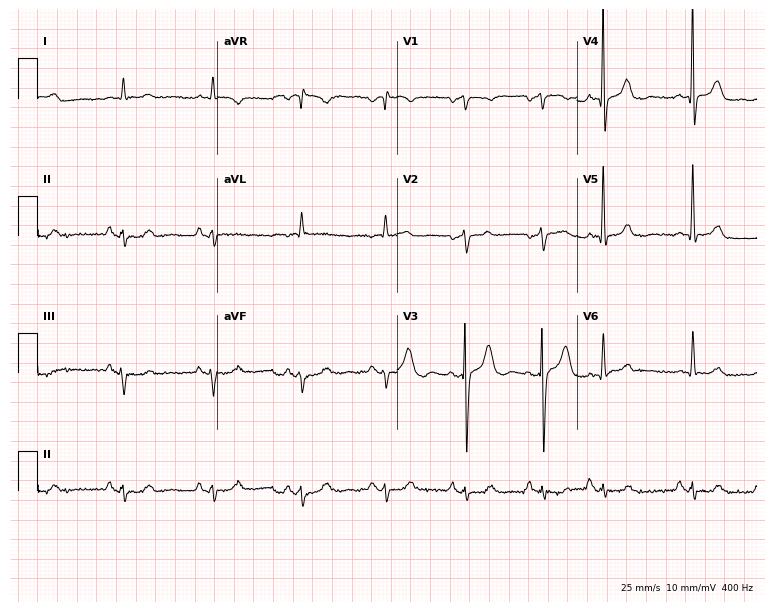
ECG — a man, 59 years old. Screened for six findings — first-degree AV block, right bundle branch block, left bundle branch block, sinus bradycardia, atrial fibrillation, sinus tachycardia — none is recorded.